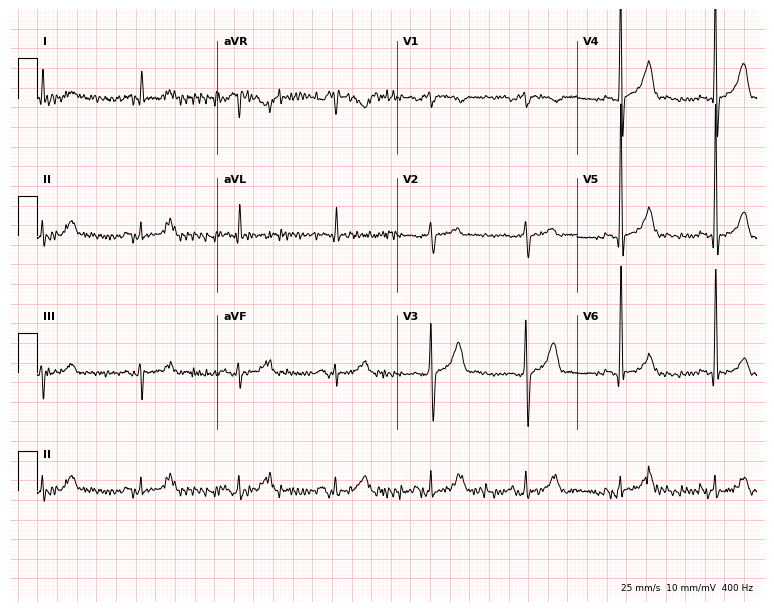
Electrocardiogram (7.3-second recording at 400 Hz), an 81-year-old male patient. Of the six screened findings (first-degree AV block, right bundle branch block (RBBB), left bundle branch block (LBBB), sinus bradycardia, atrial fibrillation (AF), sinus tachycardia), none is recorded.